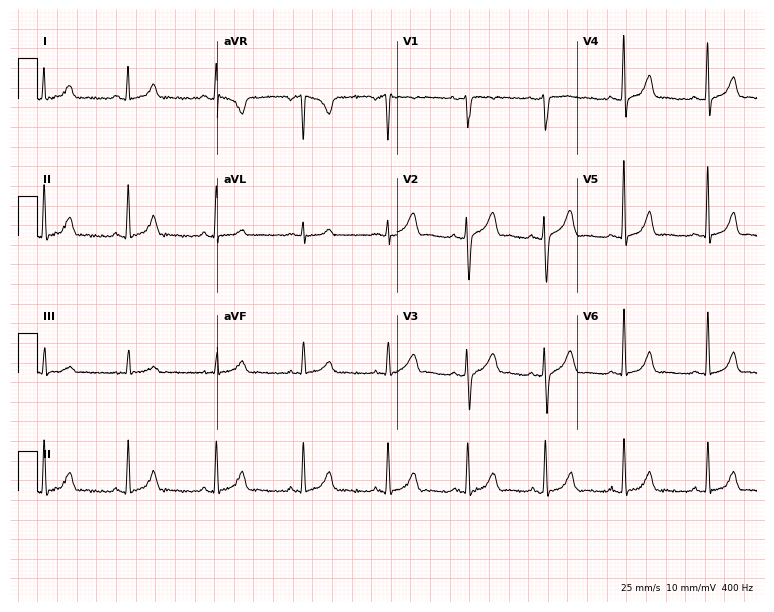
12-lead ECG from a 25-year-old female. Labelled as a normal ECG.